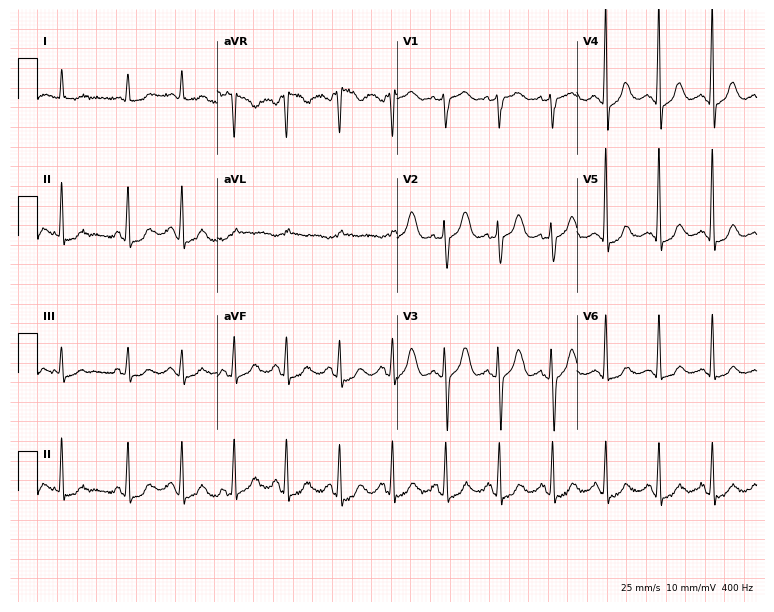
ECG (7.3-second recording at 400 Hz) — a woman, 74 years old. Screened for six findings — first-degree AV block, right bundle branch block, left bundle branch block, sinus bradycardia, atrial fibrillation, sinus tachycardia — none is recorded.